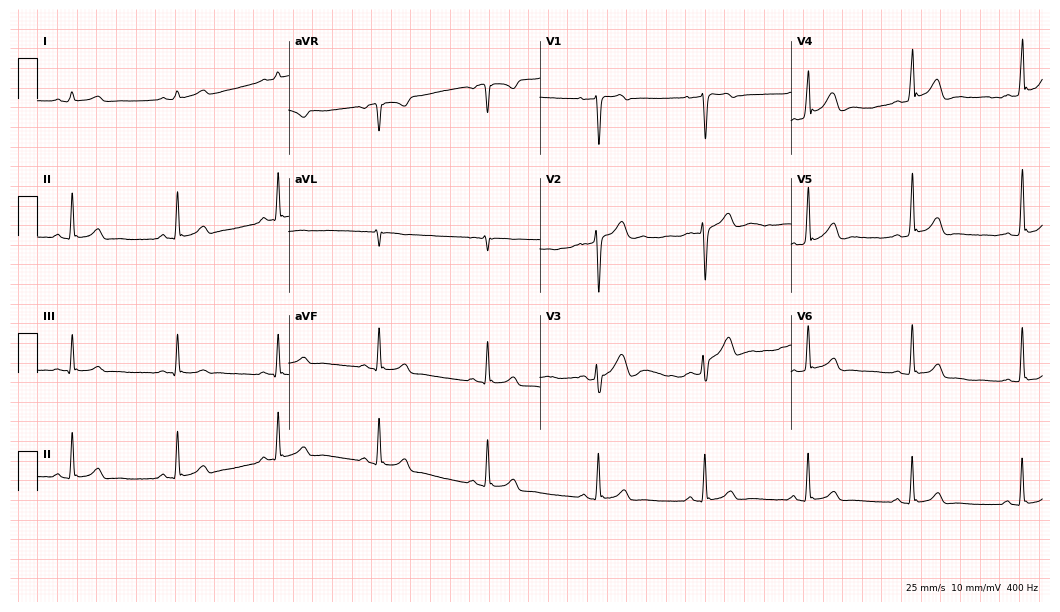
12-lead ECG from a 24-year-old male patient. Recorded interpretation: within normal limits.